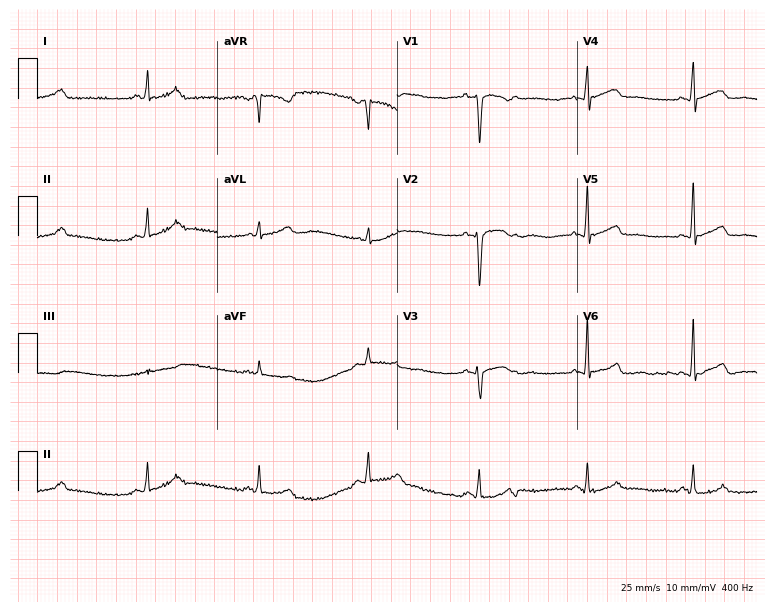
12-lead ECG from a woman, 37 years old. Labelled as a normal ECG.